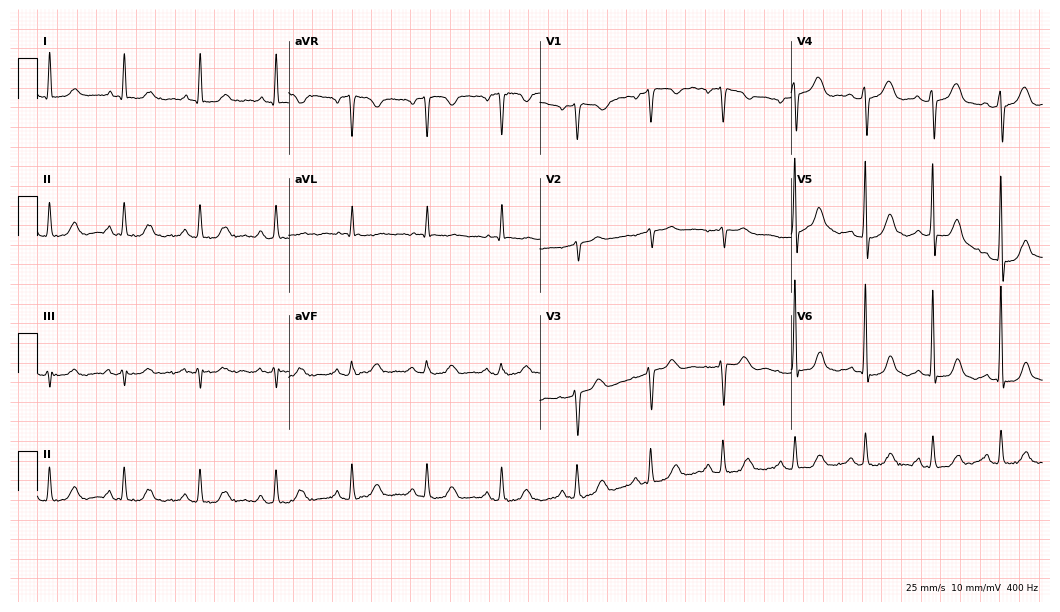
ECG (10.2-second recording at 400 Hz) — a 64-year-old female. Labelled as a normal ECG.